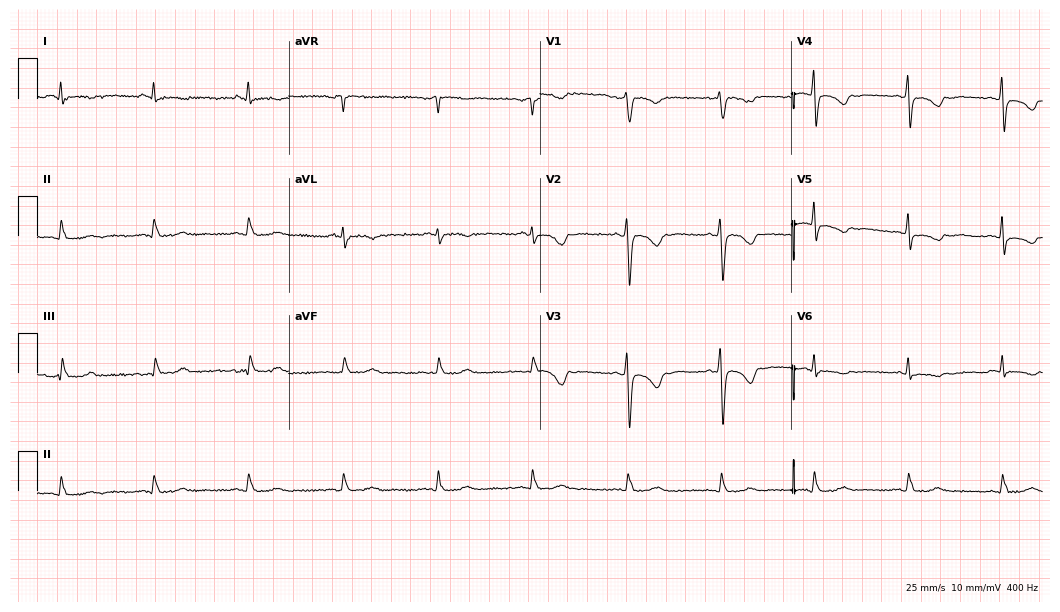
12-lead ECG from a female, 50 years old (10.2-second recording at 400 Hz). No first-degree AV block, right bundle branch block, left bundle branch block, sinus bradycardia, atrial fibrillation or sinus tachycardia recorded for this tracing.